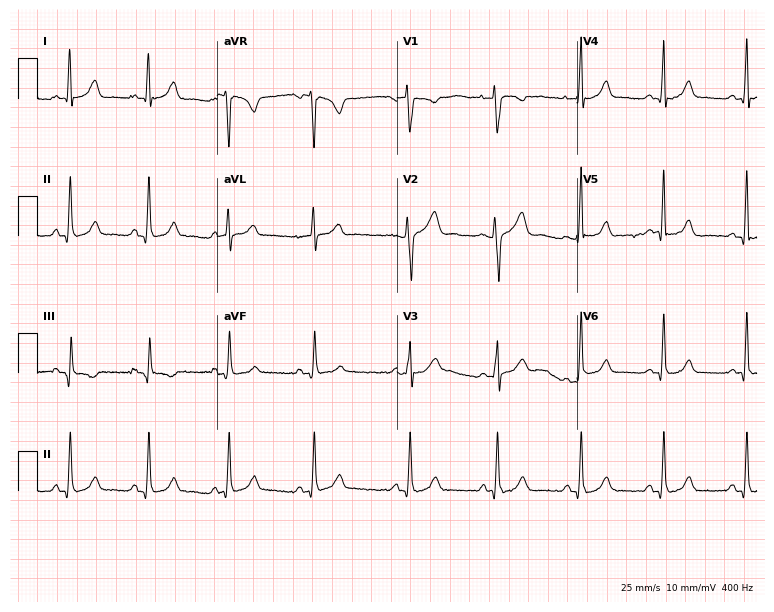
Standard 12-lead ECG recorded from a female, 23 years old (7.3-second recording at 400 Hz). Read as a normal ECG.